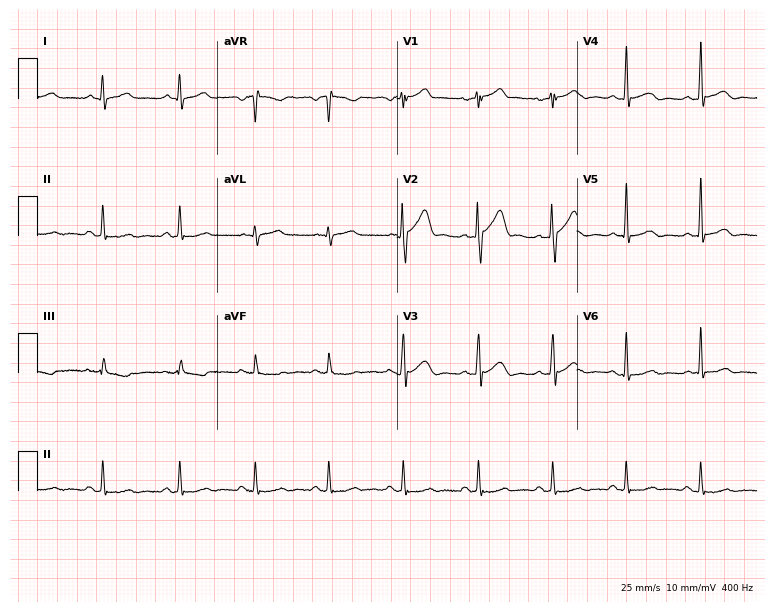
Resting 12-lead electrocardiogram. Patient: a male, 39 years old. Read as a normal ECG.